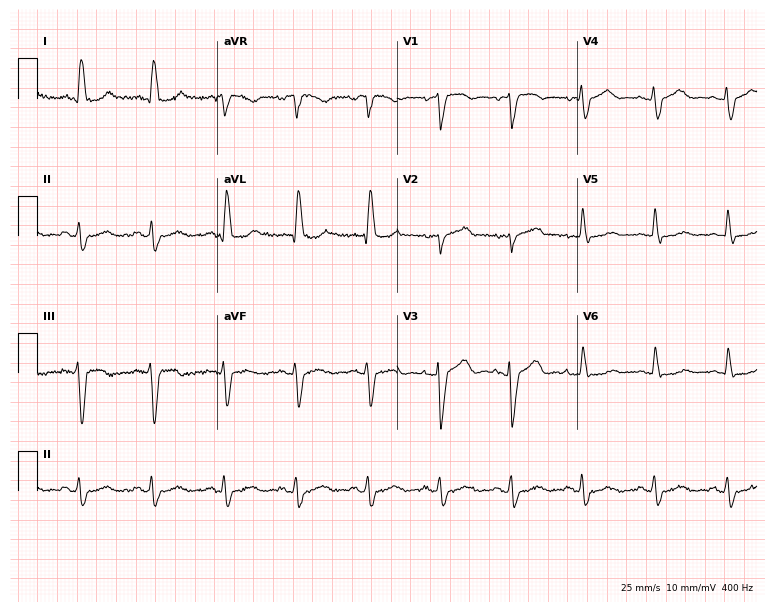
Resting 12-lead electrocardiogram. Patient: a female, 60 years old. None of these six findings is recorded: first-degree AV block, right bundle branch block, left bundle branch block, sinus bradycardia, atrial fibrillation, sinus tachycardia.